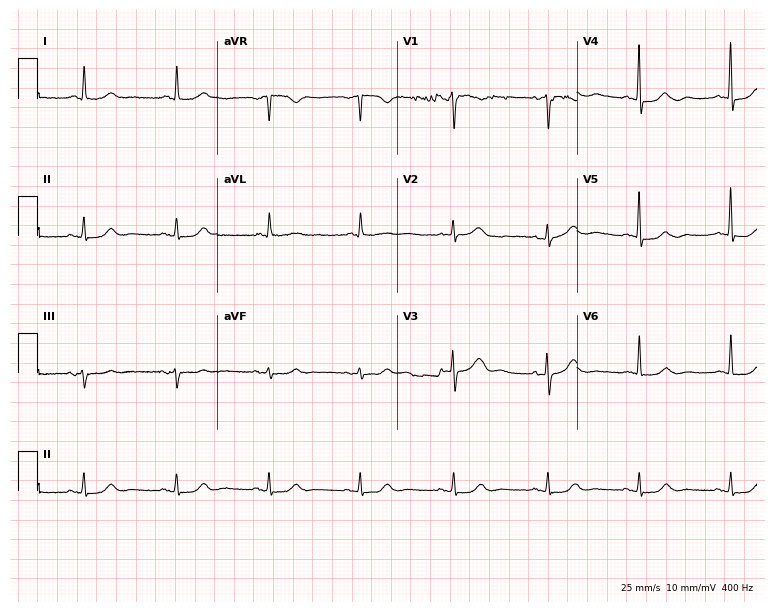
Electrocardiogram (7.3-second recording at 400 Hz), a 61-year-old female patient. Of the six screened findings (first-degree AV block, right bundle branch block, left bundle branch block, sinus bradycardia, atrial fibrillation, sinus tachycardia), none is recorded.